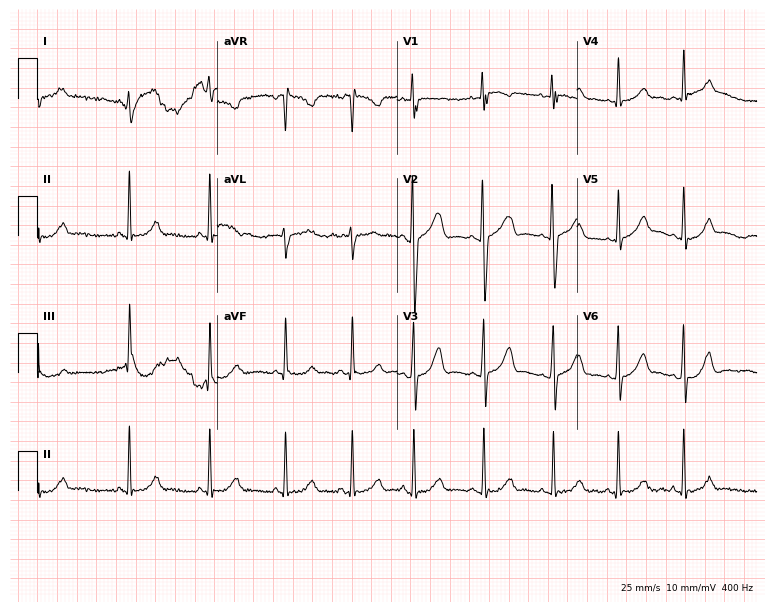
12-lead ECG from a woman, 18 years old. Labelled as a normal ECG.